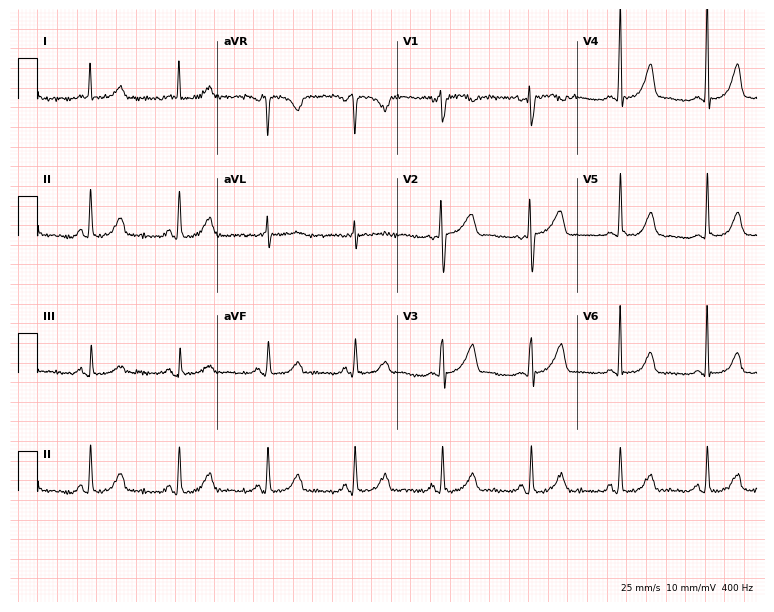
Electrocardiogram (7.3-second recording at 400 Hz), a 52-year-old female. Overall reading on record: normal ECG.